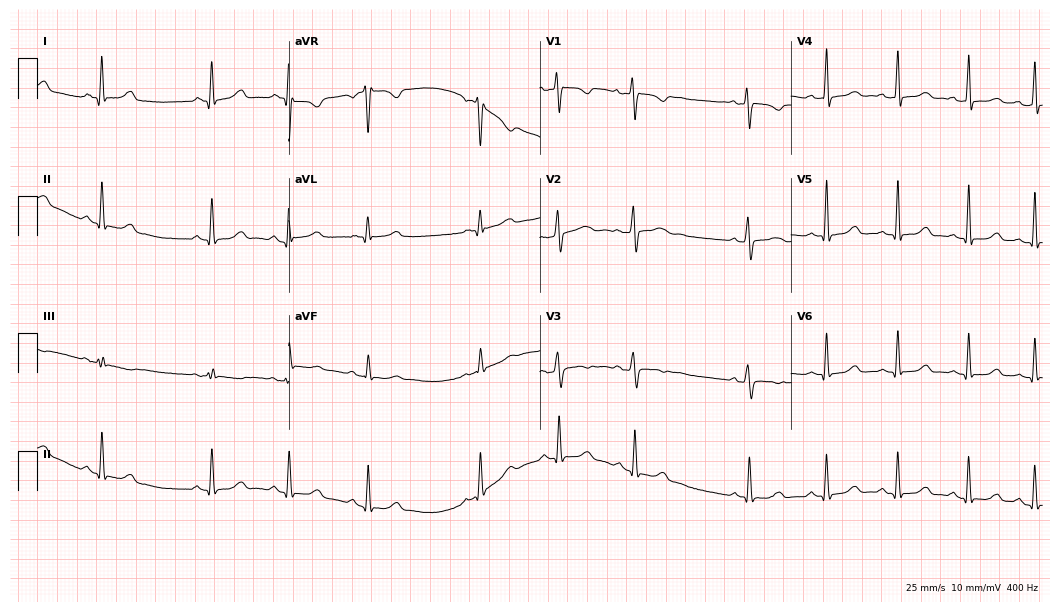
12-lead ECG (10.2-second recording at 400 Hz) from a 21-year-old female. Labelled as a normal ECG.